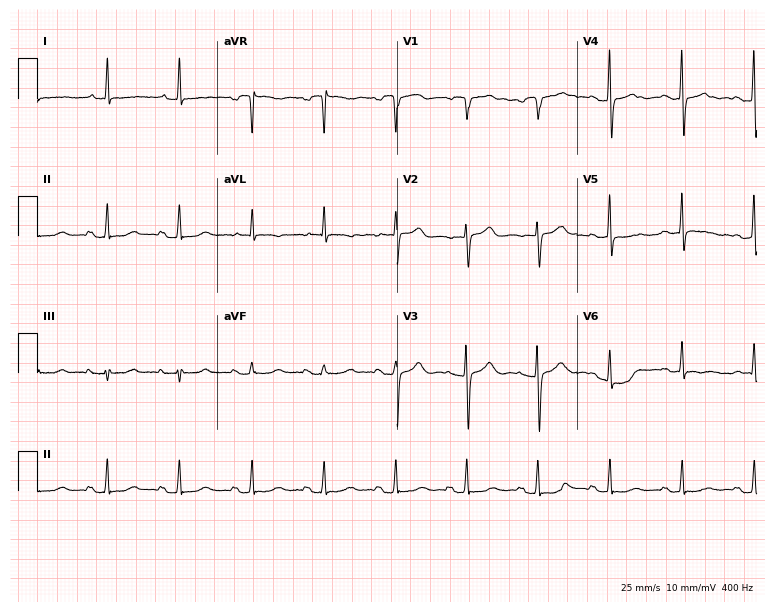
ECG (7.3-second recording at 400 Hz) — a woman, 68 years old. Labelled as a normal ECG.